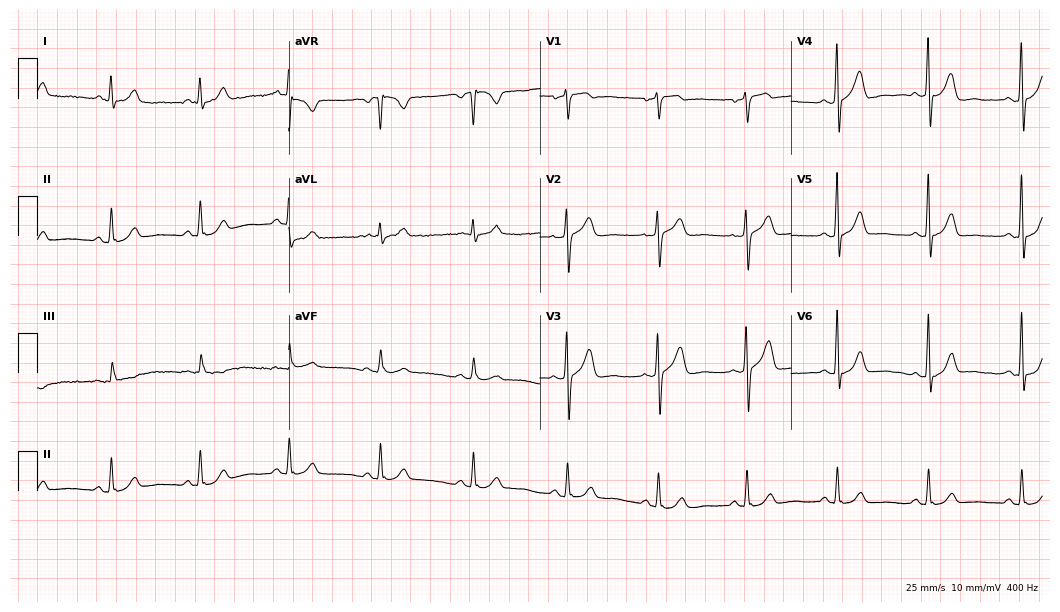
ECG (10.2-second recording at 400 Hz) — a 52-year-old man. Labelled as a normal ECG.